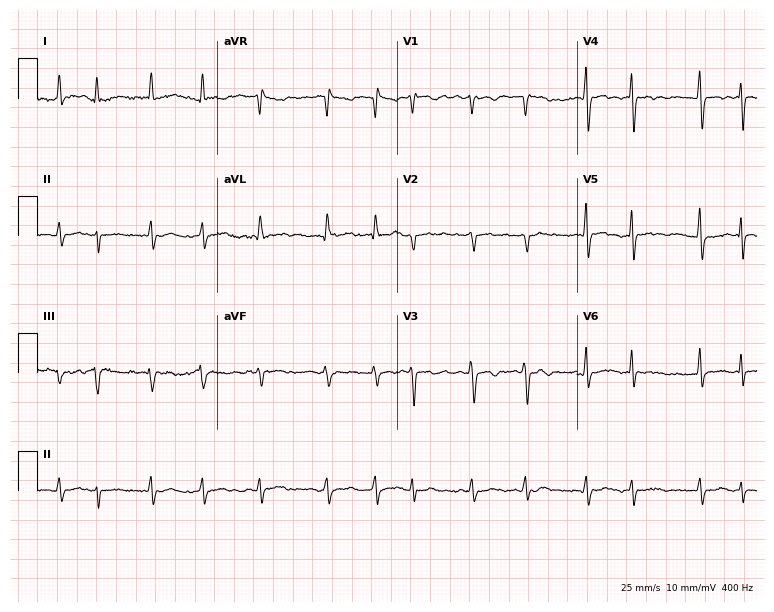
12-lead ECG from a woman, 67 years old (7.3-second recording at 400 Hz). Shows atrial fibrillation.